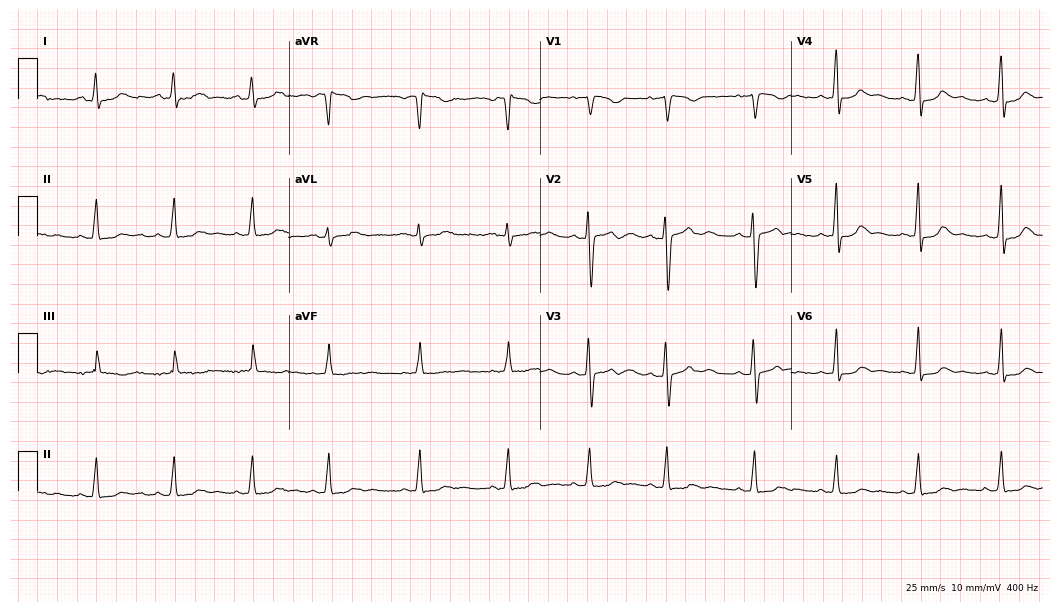
Resting 12-lead electrocardiogram. Patient: a 20-year-old female. None of these six findings is recorded: first-degree AV block, right bundle branch block, left bundle branch block, sinus bradycardia, atrial fibrillation, sinus tachycardia. Only these six findings were labelled.